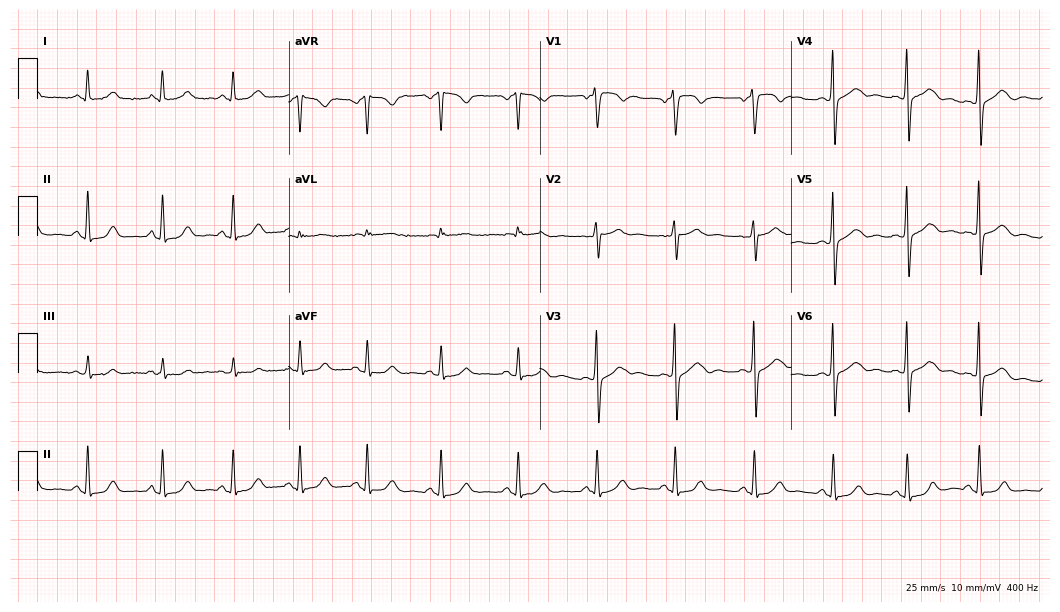
Electrocardiogram, a 45-year-old male patient. Overall reading on record: normal ECG.